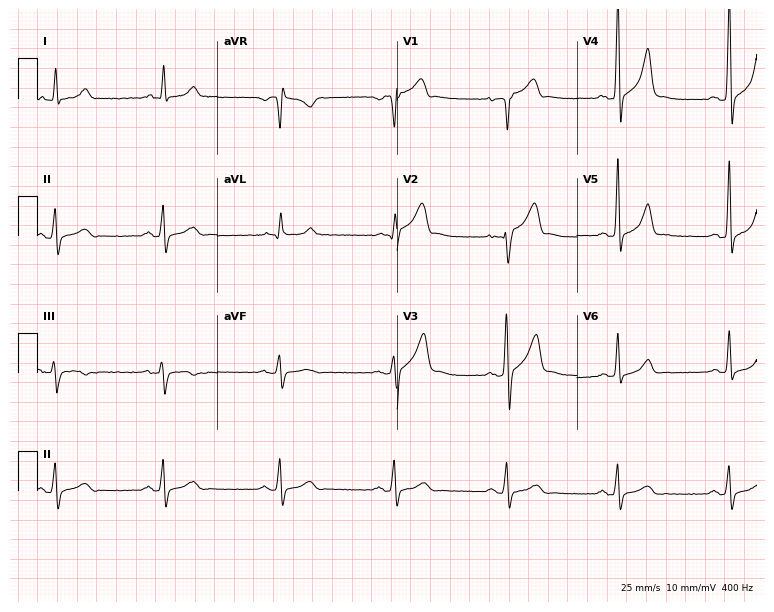
Standard 12-lead ECG recorded from a 40-year-old man (7.3-second recording at 400 Hz). None of these six findings is recorded: first-degree AV block, right bundle branch block (RBBB), left bundle branch block (LBBB), sinus bradycardia, atrial fibrillation (AF), sinus tachycardia.